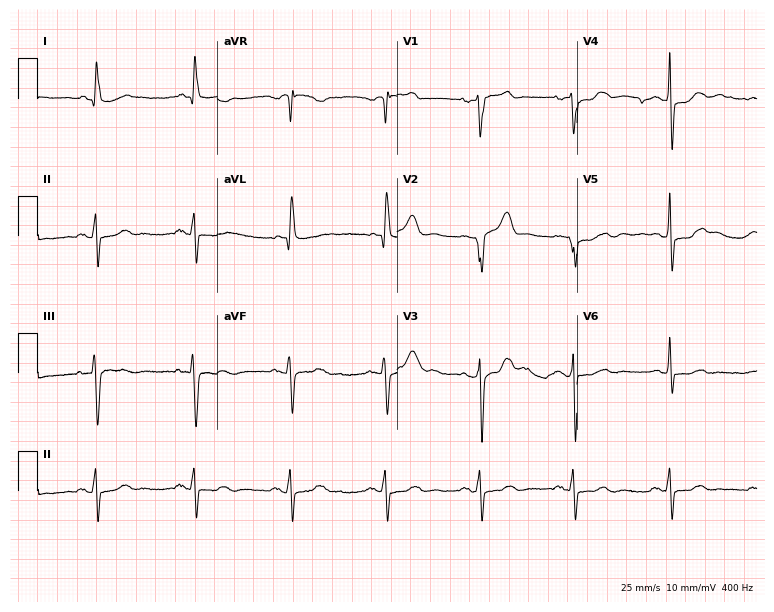
12-lead ECG from an 84-year-old man. Screened for six findings — first-degree AV block, right bundle branch block, left bundle branch block, sinus bradycardia, atrial fibrillation, sinus tachycardia — none is recorded. Findings outside these six are not listed.